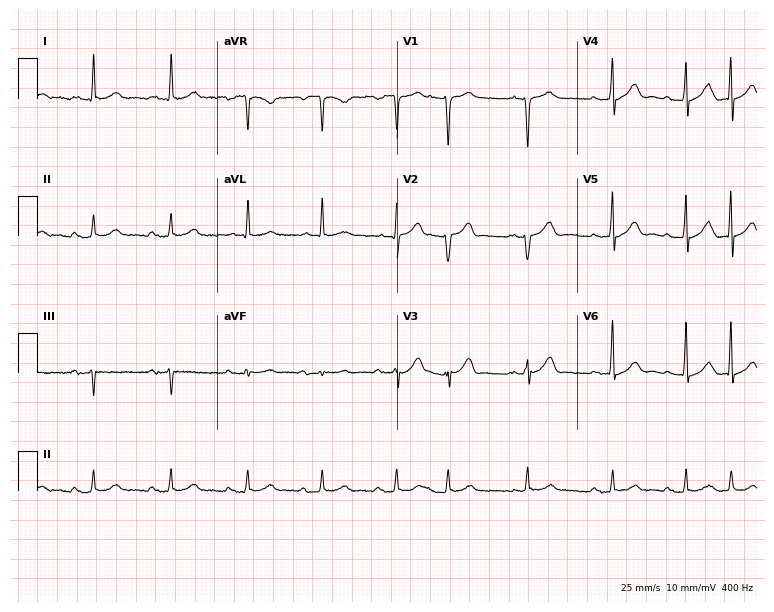
12-lead ECG from a 69-year-old man. Recorded interpretation: within normal limits.